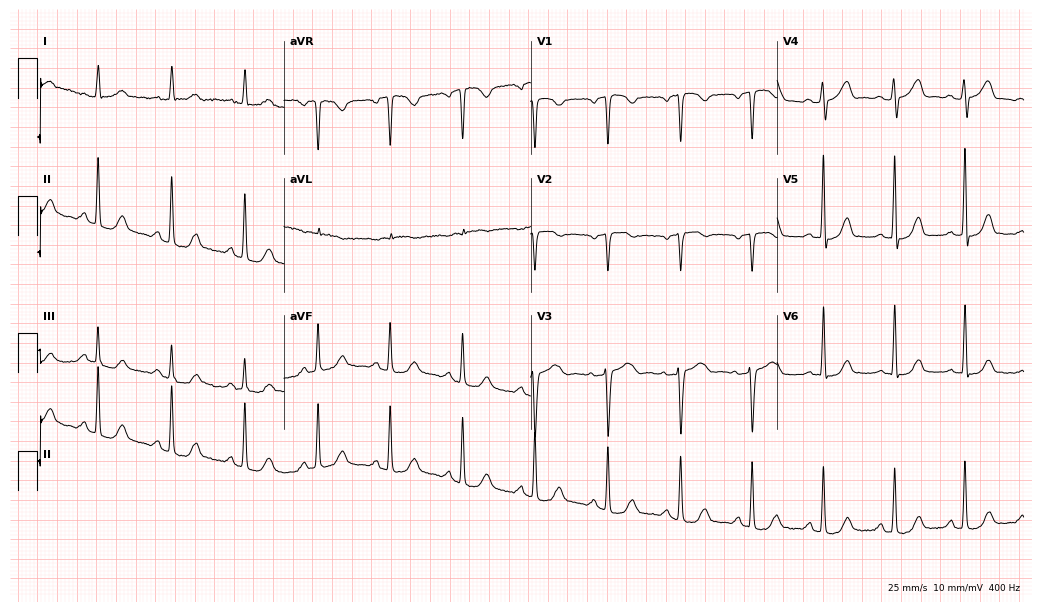
Electrocardiogram, a 73-year-old female. Overall reading on record: normal ECG.